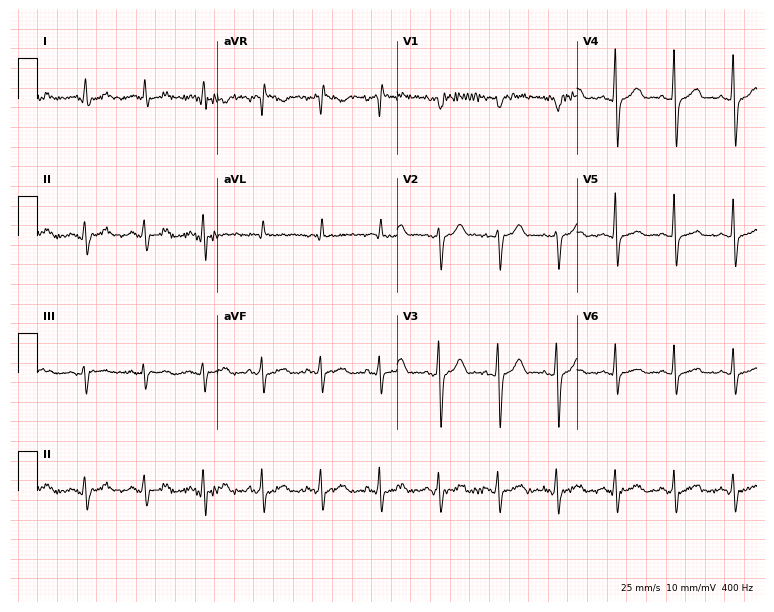
Standard 12-lead ECG recorded from a male patient, 74 years old (7.3-second recording at 400 Hz). None of these six findings is recorded: first-degree AV block, right bundle branch block, left bundle branch block, sinus bradycardia, atrial fibrillation, sinus tachycardia. Findings outside these six are not listed.